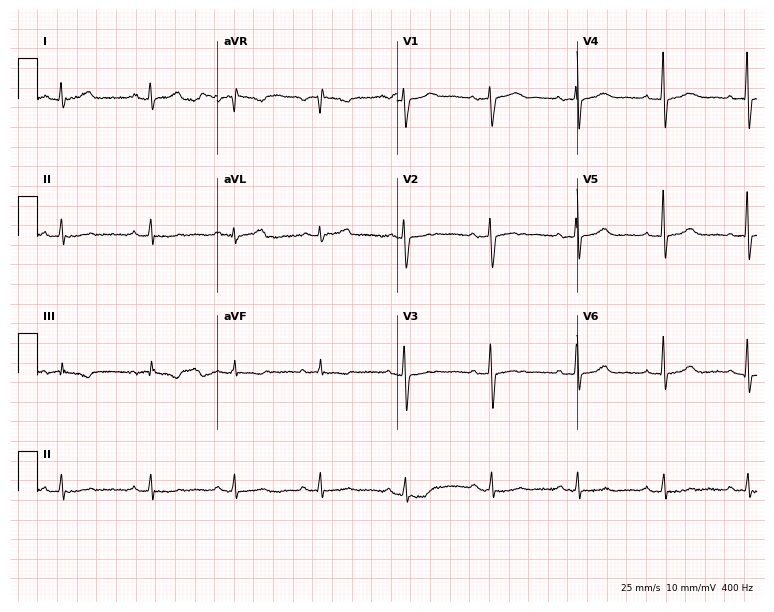
12-lead ECG (7.3-second recording at 400 Hz) from a woman, 49 years old. Screened for six findings — first-degree AV block, right bundle branch block, left bundle branch block, sinus bradycardia, atrial fibrillation, sinus tachycardia — none is recorded. Only these six findings were labelled.